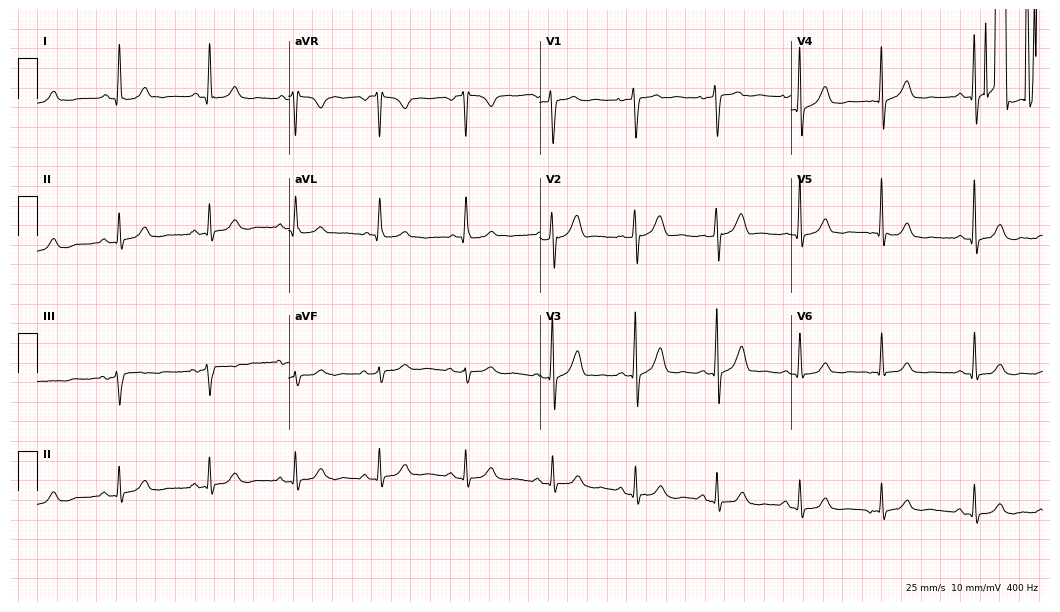
Resting 12-lead electrocardiogram. Patient: a 67-year-old woman. None of these six findings is recorded: first-degree AV block, right bundle branch block, left bundle branch block, sinus bradycardia, atrial fibrillation, sinus tachycardia.